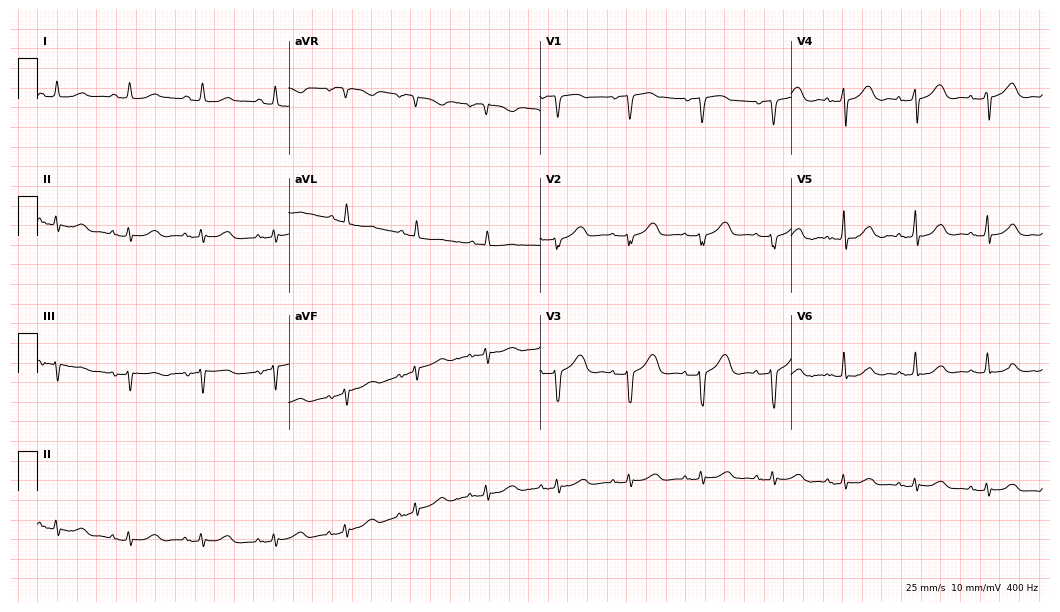
Resting 12-lead electrocardiogram (10.2-second recording at 400 Hz). Patient: a 67-year-old woman. None of these six findings is recorded: first-degree AV block, right bundle branch block (RBBB), left bundle branch block (LBBB), sinus bradycardia, atrial fibrillation (AF), sinus tachycardia.